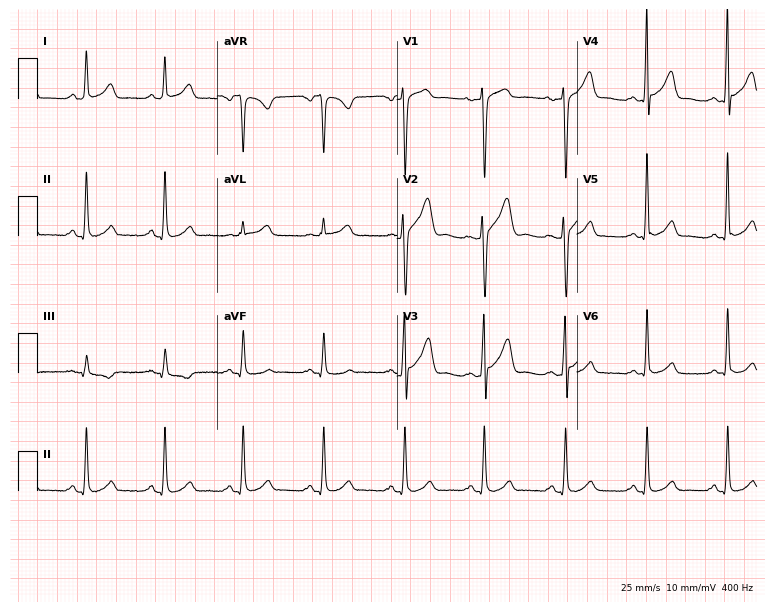
12-lead ECG from a male patient, 44 years old (7.3-second recording at 400 Hz). No first-degree AV block, right bundle branch block (RBBB), left bundle branch block (LBBB), sinus bradycardia, atrial fibrillation (AF) or sinus tachycardia recorded for this tracing.